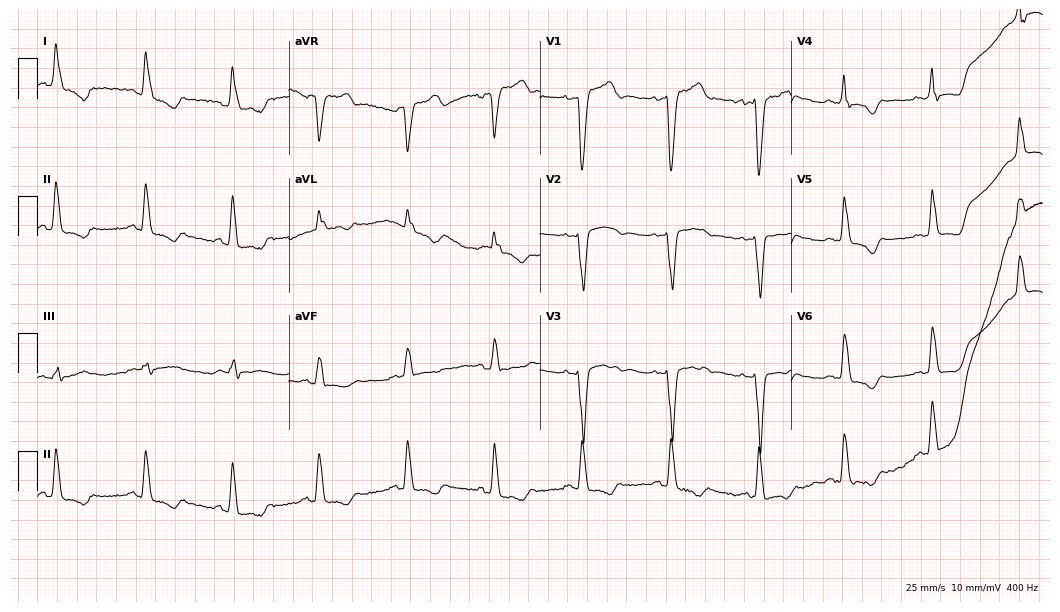
Electrocardiogram, a 76-year-old female. Interpretation includes left bundle branch block.